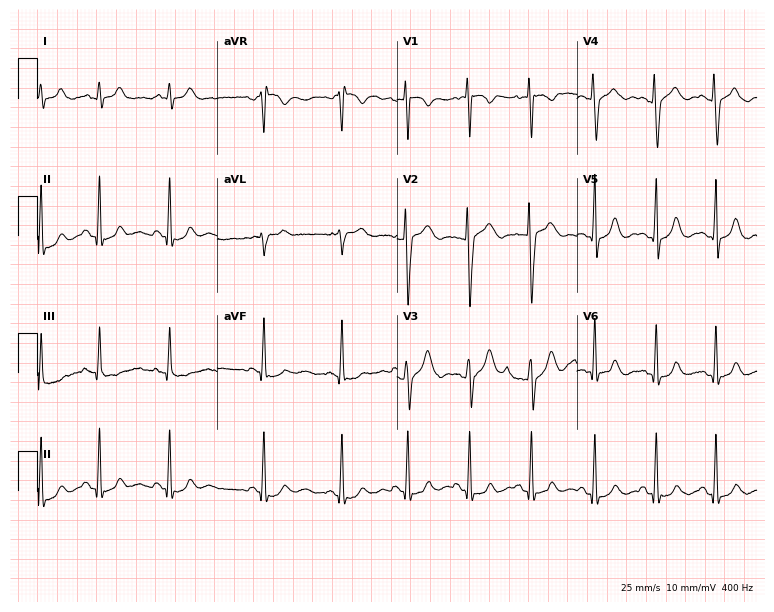
Standard 12-lead ECG recorded from a female patient, 17 years old (7.3-second recording at 400 Hz). Read as a normal ECG.